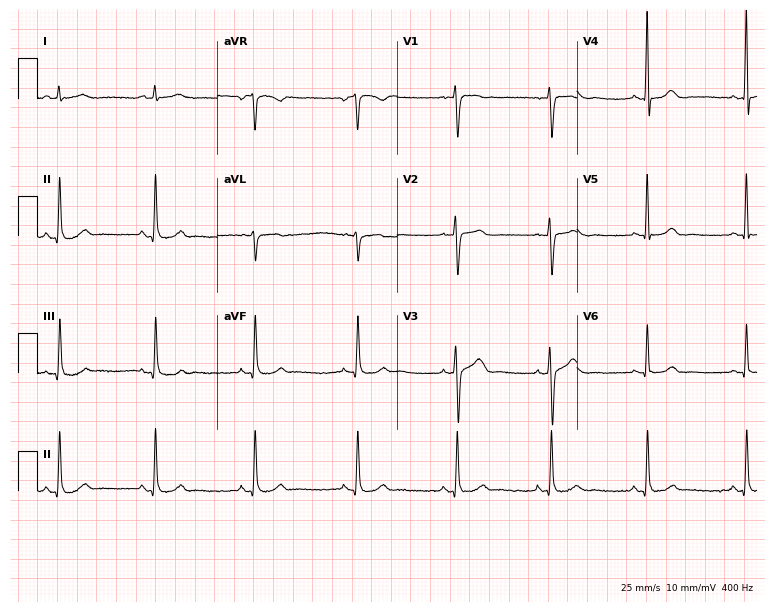
12-lead ECG from a female patient, 33 years old. Screened for six findings — first-degree AV block, right bundle branch block, left bundle branch block, sinus bradycardia, atrial fibrillation, sinus tachycardia — none is recorded. Other findings, if any, are not listed.